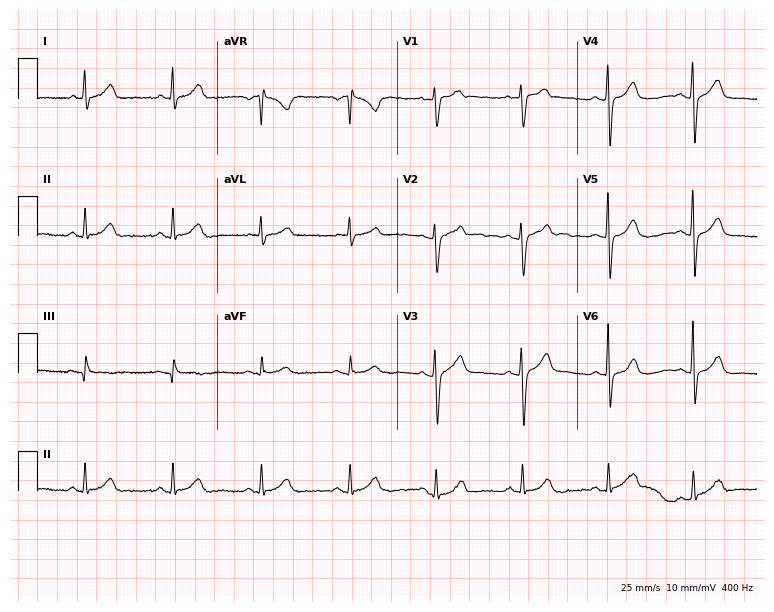
Electrocardiogram, a male, 43 years old. Overall reading on record: normal ECG.